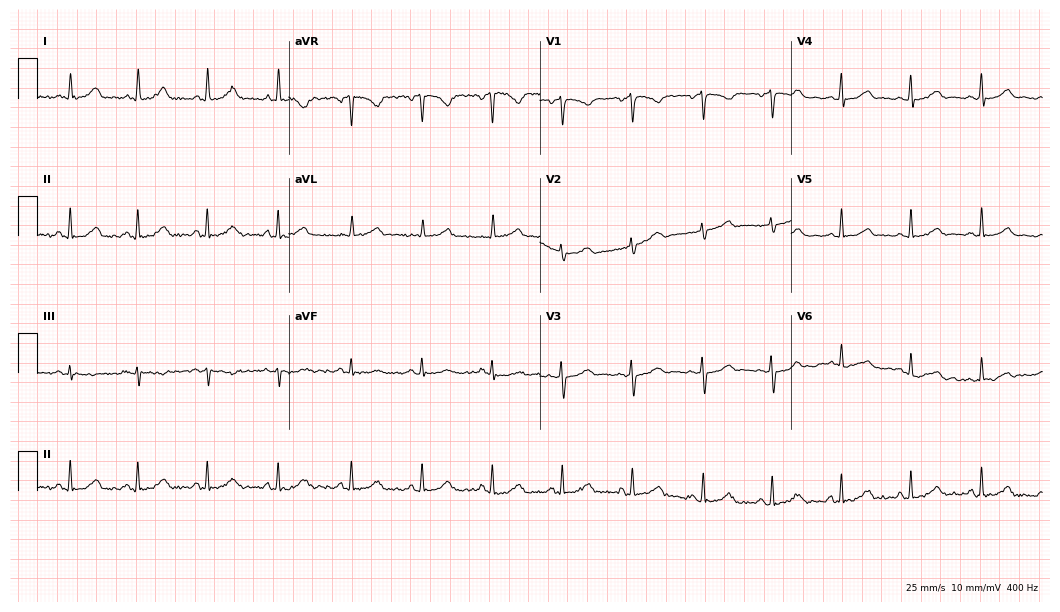
12-lead ECG from a 45-year-old female patient (10.2-second recording at 400 Hz). No first-degree AV block, right bundle branch block, left bundle branch block, sinus bradycardia, atrial fibrillation or sinus tachycardia recorded for this tracing. Other findings, if any, are not listed.